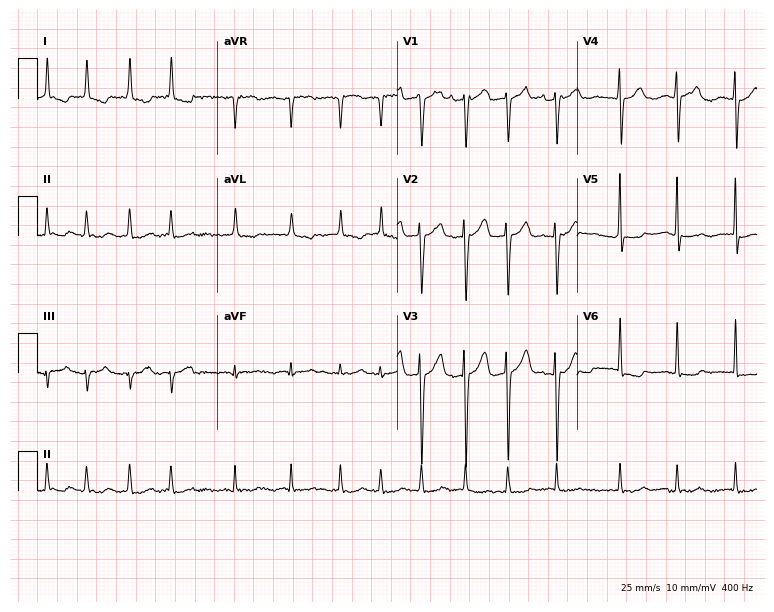
Resting 12-lead electrocardiogram. Patient: an 83-year-old female. The tracing shows atrial fibrillation.